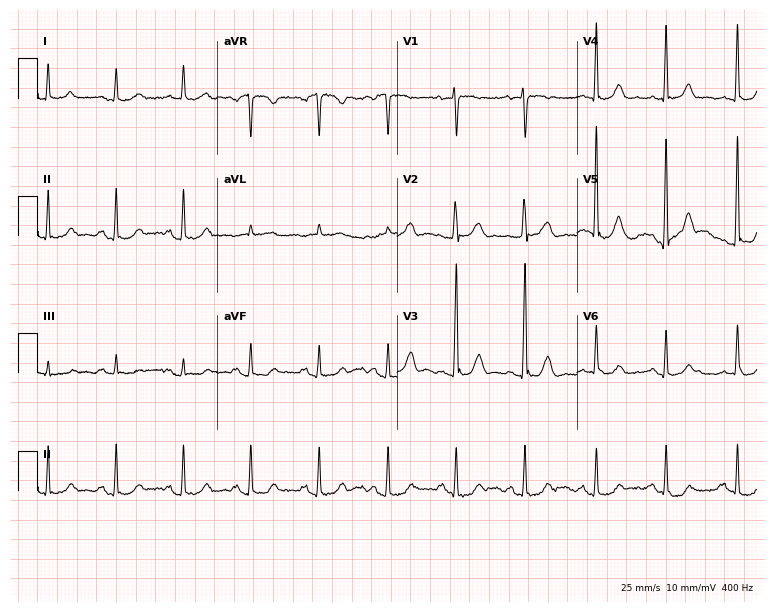
ECG (7.3-second recording at 400 Hz) — a female, 77 years old. Screened for six findings — first-degree AV block, right bundle branch block, left bundle branch block, sinus bradycardia, atrial fibrillation, sinus tachycardia — none is recorded. Only these six findings were labelled.